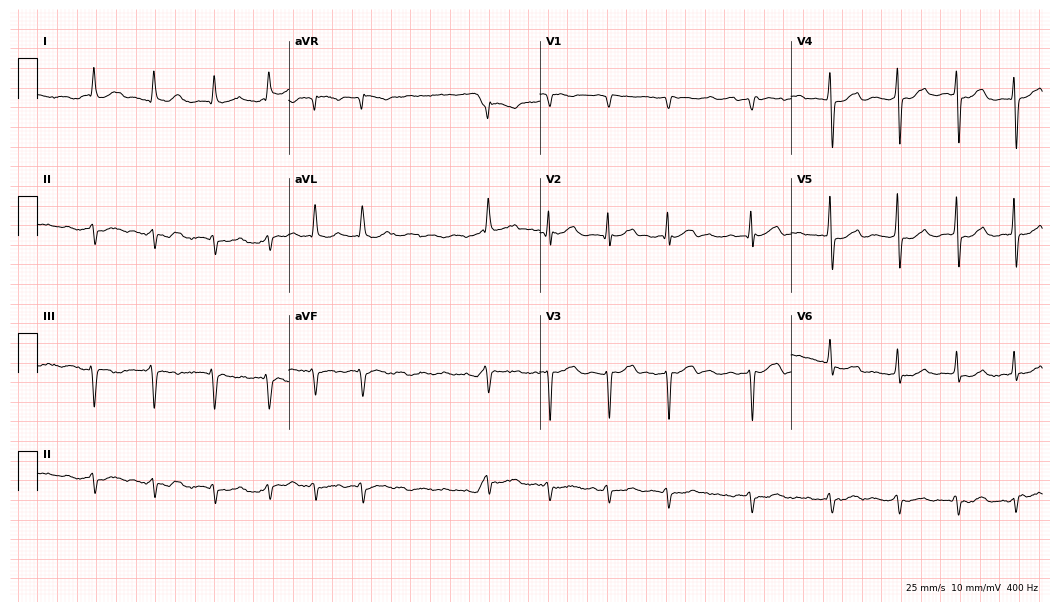
Resting 12-lead electrocardiogram (10.2-second recording at 400 Hz). Patient: a 72-year-old man. The tracing shows atrial fibrillation.